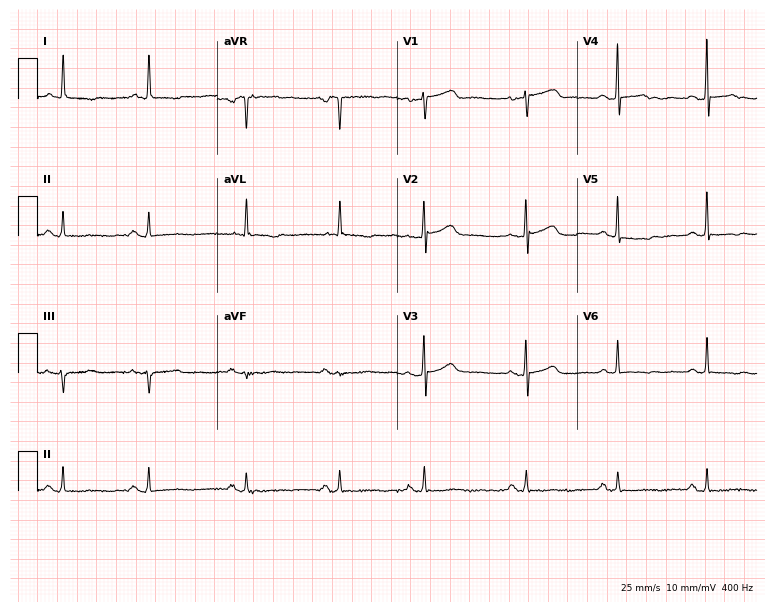
ECG — a 75-year-old female. Screened for six findings — first-degree AV block, right bundle branch block, left bundle branch block, sinus bradycardia, atrial fibrillation, sinus tachycardia — none is recorded. Only these six findings were labelled.